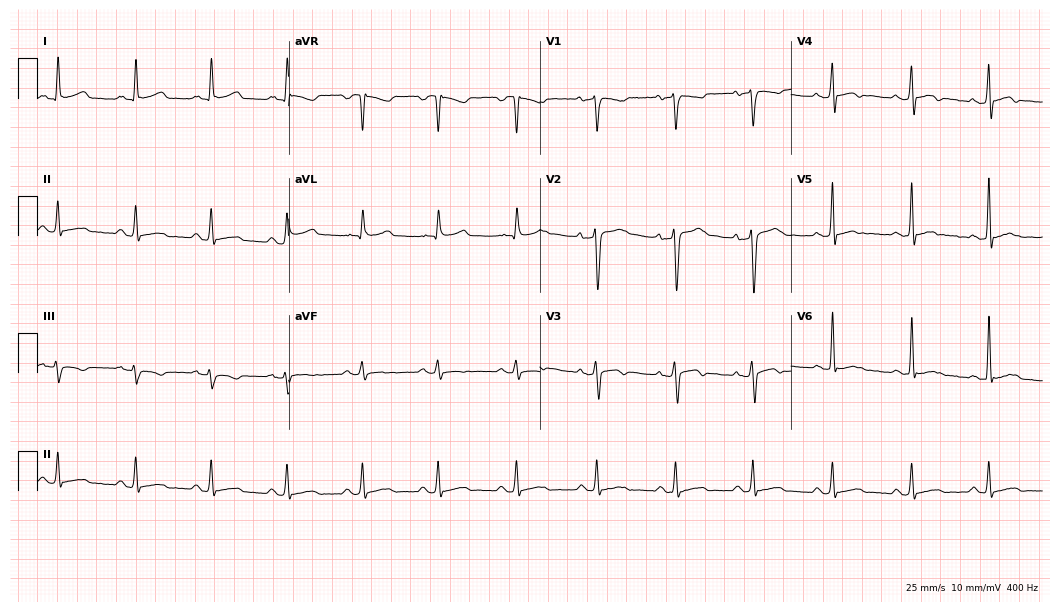
Resting 12-lead electrocardiogram (10.2-second recording at 400 Hz). Patient: a 31-year-old male. None of these six findings is recorded: first-degree AV block, right bundle branch block, left bundle branch block, sinus bradycardia, atrial fibrillation, sinus tachycardia. Findings outside these six are not listed.